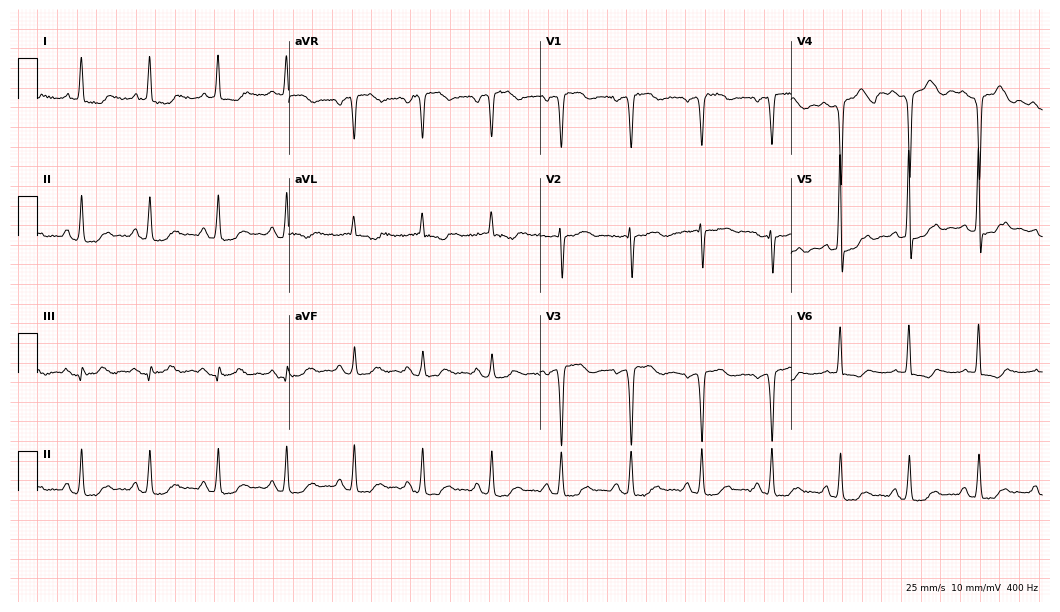
12-lead ECG from a 67-year-old female patient. Screened for six findings — first-degree AV block, right bundle branch block, left bundle branch block, sinus bradycardia, atrial fibrillation, sinus tachycardia — none is recorded. Other findings, if any, are not listed.